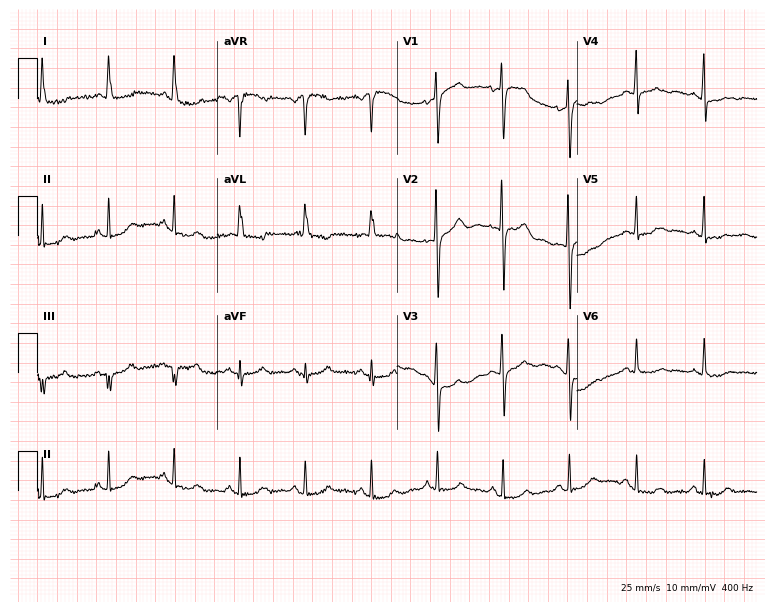
12-lead ECG (7.3-second recording at 400 Hz) from a woman, 69 years old. Labelled as a normal ECG.